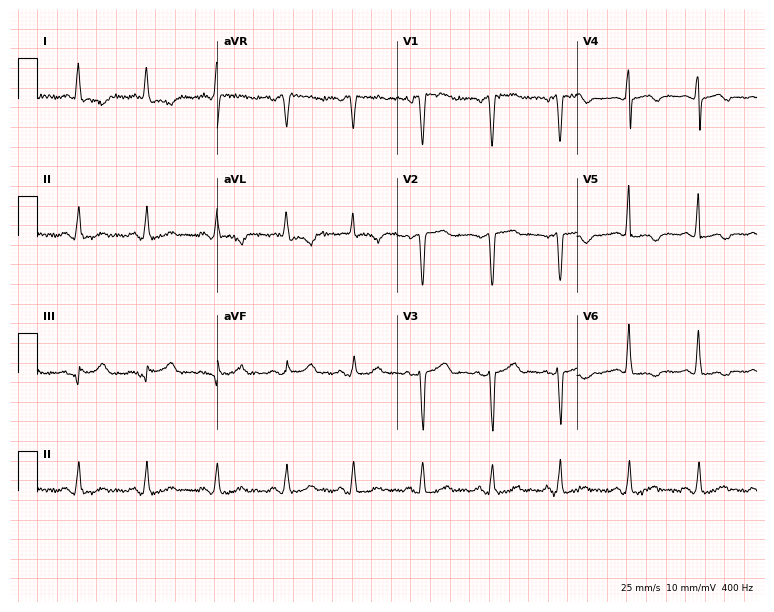
Standard 12-lead ECG recorded from a female patient, 59 years old. None of these six findings is recorded: first-degree AV block, right bundle branch block (RBBB), left bundle branch block (LBBB), sinus bradycardia, atrial fibrillation (AF), sinus tachycardia. Other findings, if any, are not listed.